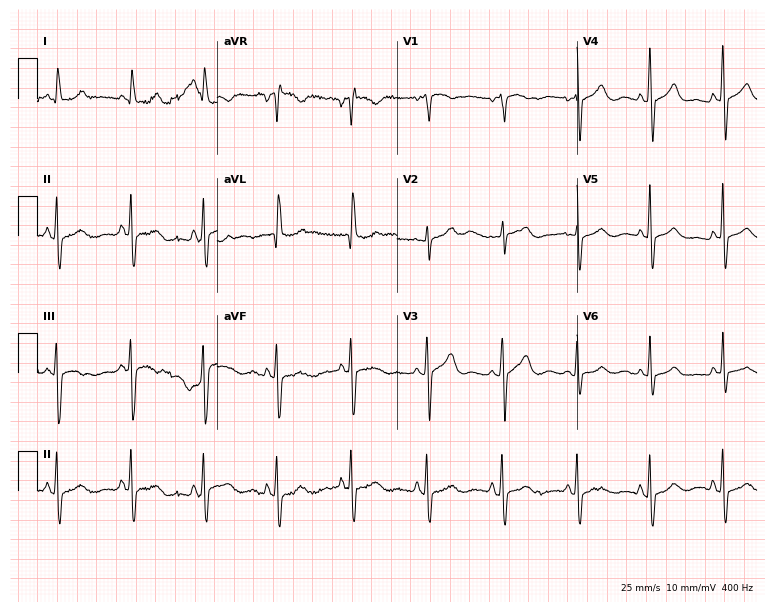
12-lead ECG from an 81-year-old woman. Screened for six findings — first-degree AV block, right bundle branch block, left bundle branch block, sinus bradycardia, atrial fibrillation, sinus tachycardia — none is recorded.